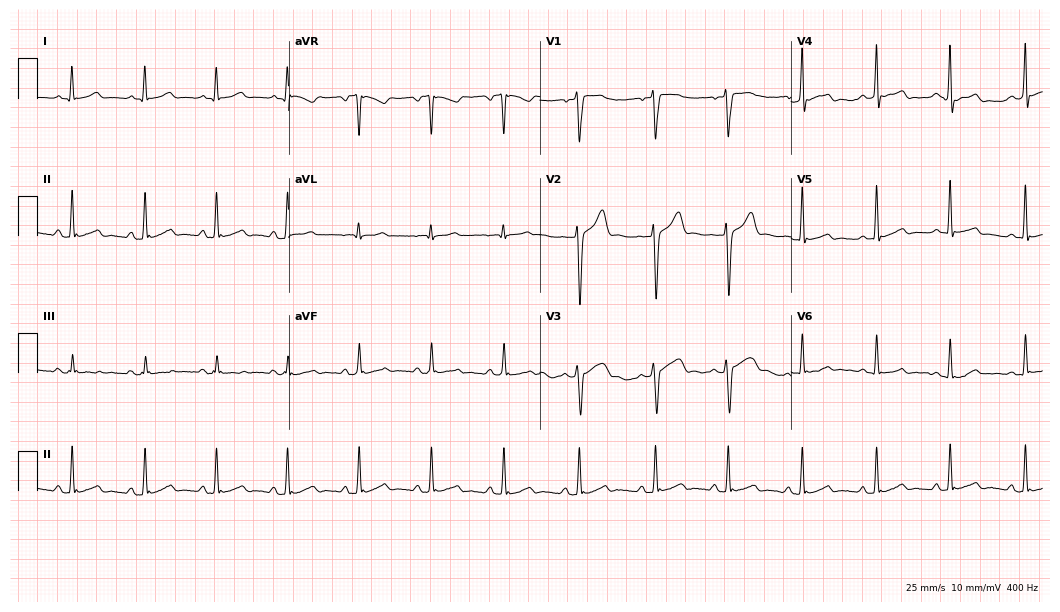
Resting 12-lead electrocardiogram. Patient: a male, 22 years old. Read as a normal ECG.